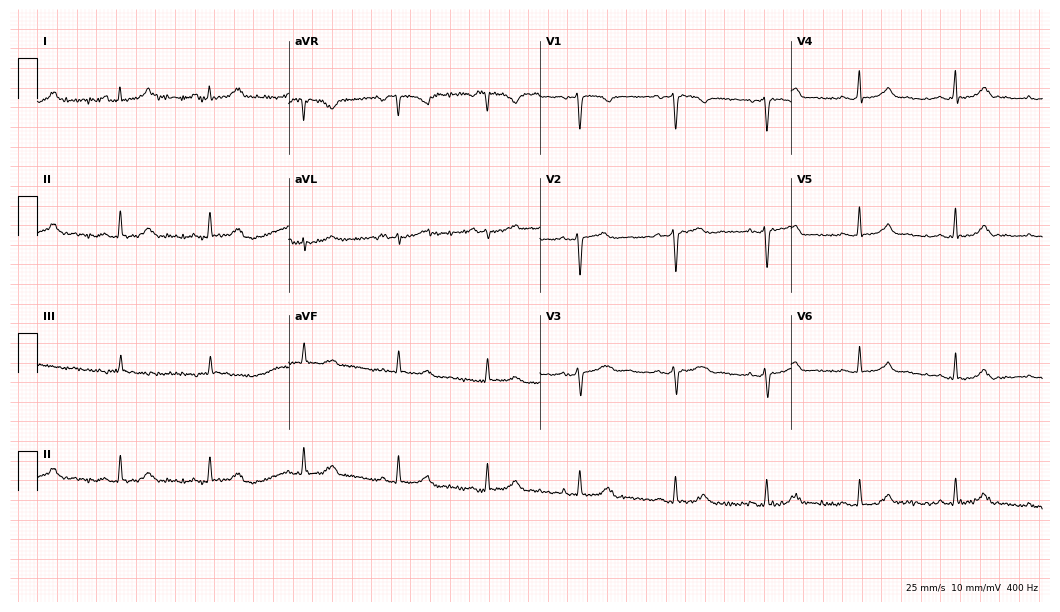
12-lead ECG from a 36-year-old female. Labelled as a normal ECG.